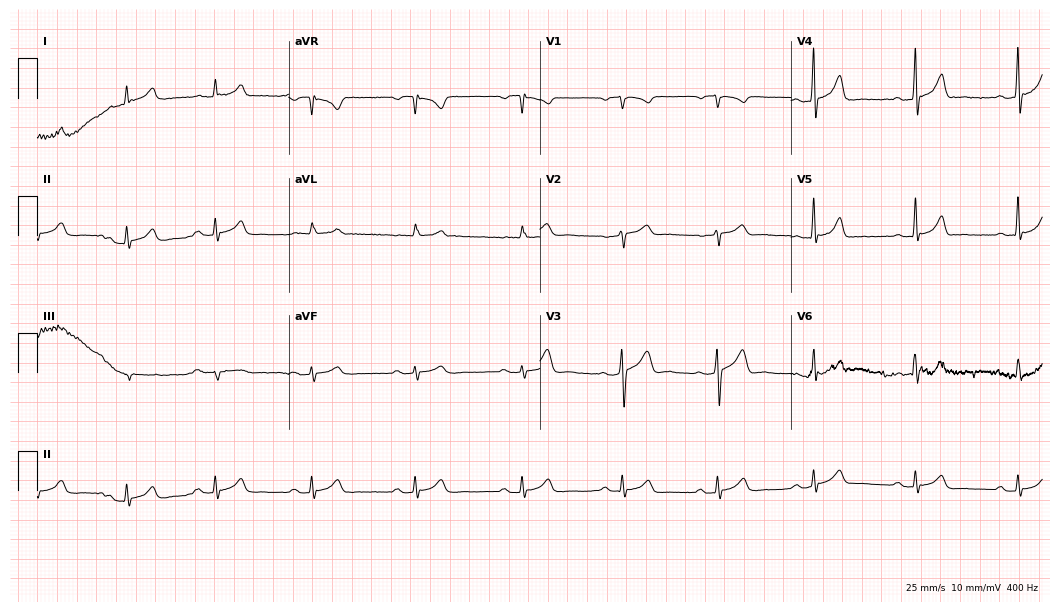
ECG — a man, 56 years old. Labelled as a normal ECG.